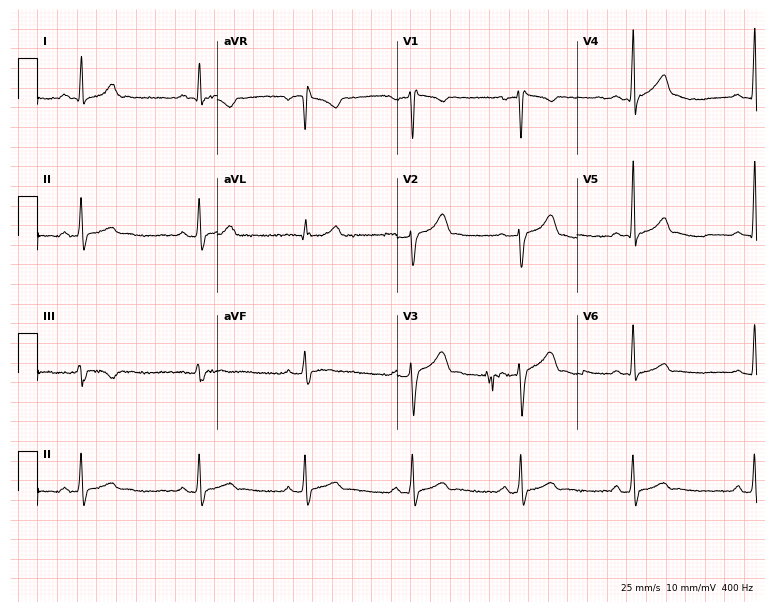
Resting 12-lead electrocardiogram (7.3-second recording at 400 Hz). Patient: a 39-year-old man. None of these six findings is recorded: first-degree AV block, right bundle branch block (RBBB), left bundle branch block (LBBB), sinus bradycardia, atrial fibrillation (AF), sinus tachycardia. Only these six findings were labelled.